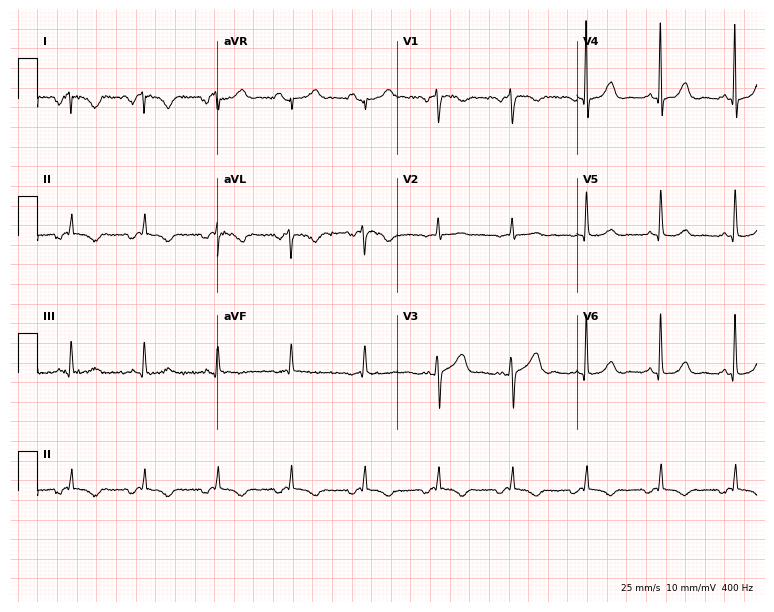
12-lead ECG from an 80-year-old female. Screened for six findings — first-degree AV block, right bundle branch block, left bundle branch block, sinus bradycardia, atrial fibrillation, sinus tachycardia — none is recorded. Findings outside these six are not listed.